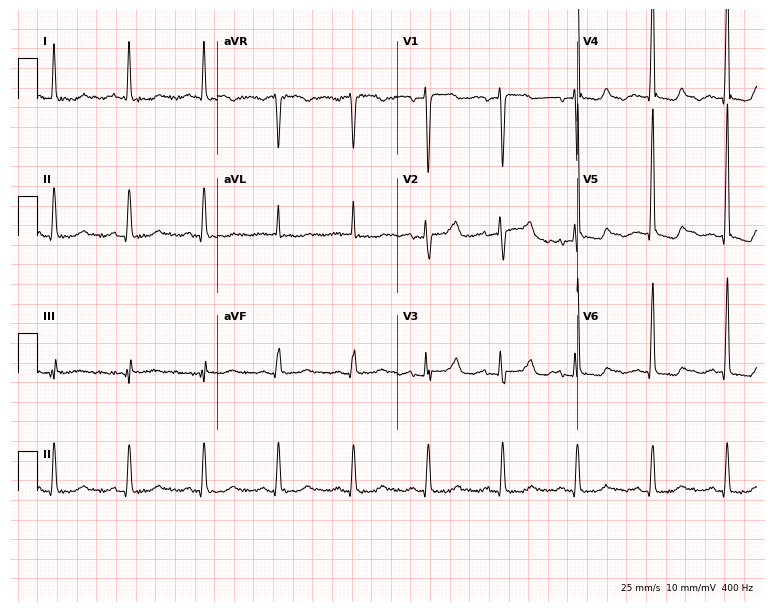
Electrocardiogram (7.3-second recording at 400 Hz), a 53-year-old female. Of the six screened findings (first-degree AV block, right bundle branch block, left bundle branch block, sinus bradycardia, atrial fibrillation, sinus tachycardia), none is recorded.